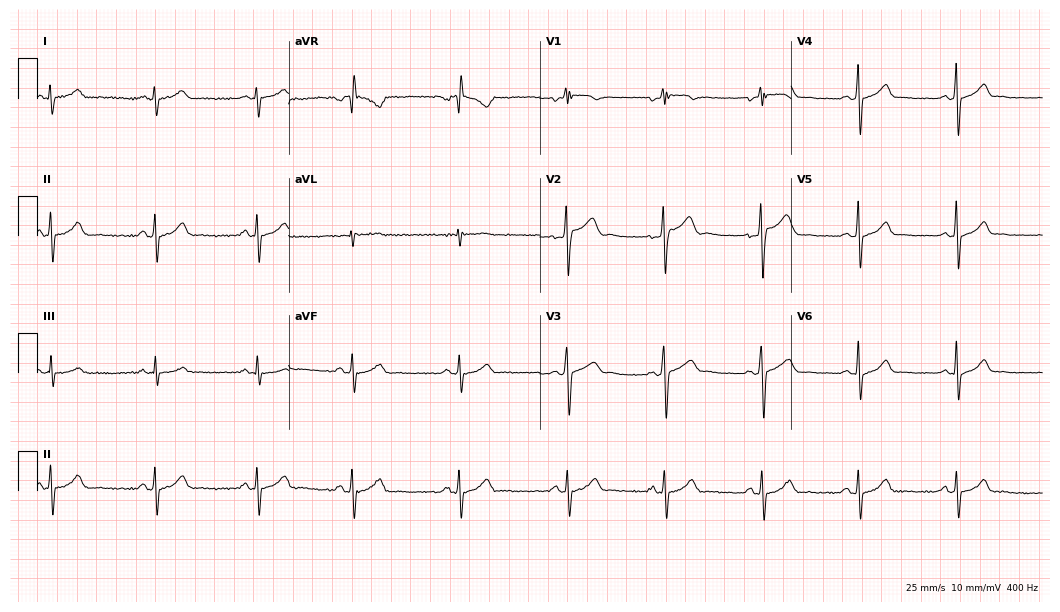
ECG — a 21-year-old male. Labelled as a normal ECG.